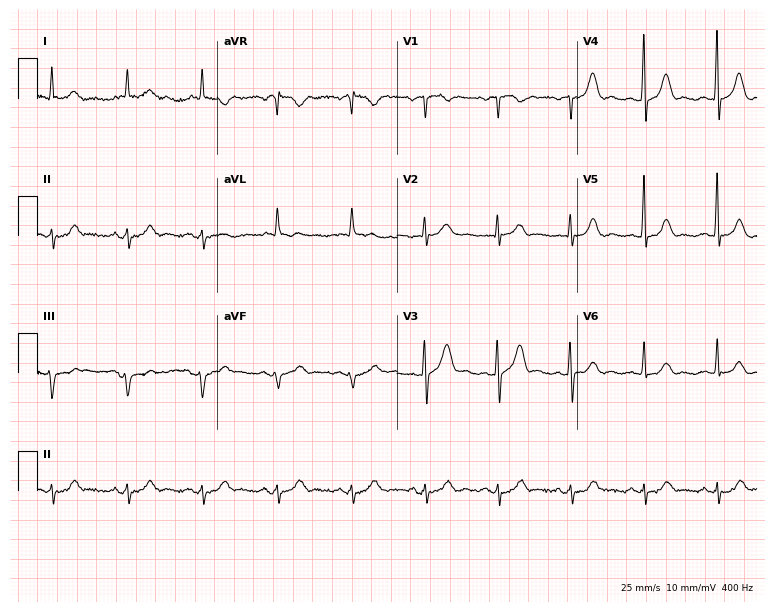
12-lead ECG from a 79-year-old male patient. No first-degree AV block, right bundle branch block, left bundle branch block, sinus bradycardia, atrial fibrillation or sinus tachycardia recorded for this tracing.